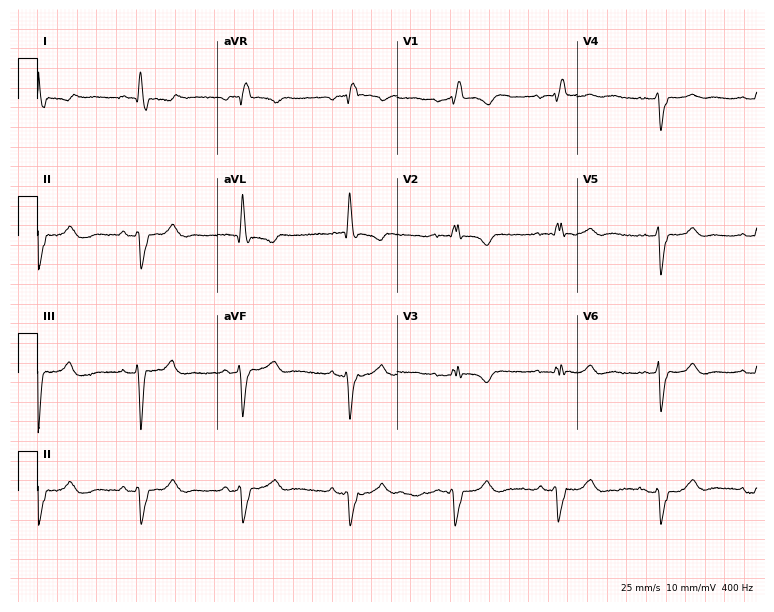
Standard 12-lead ECG recorded from a female patient, 41 years old. The tracing shows right bundle branch block.